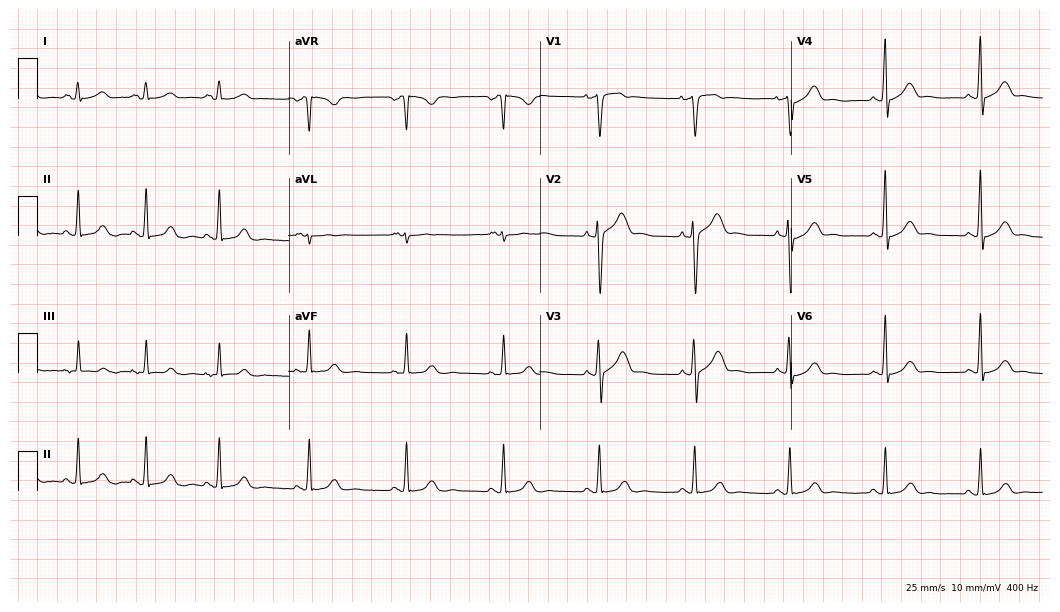
Resting 12-lead electrocardiogram. Patient: a female, 32 years old. None of these six findings is recorded: first-degree AV block, right bundle branch block (RBBB), left bundle branch block (LBBB), sinus bradycardia, atrial fibrillation (AF), sinus tachycardia.